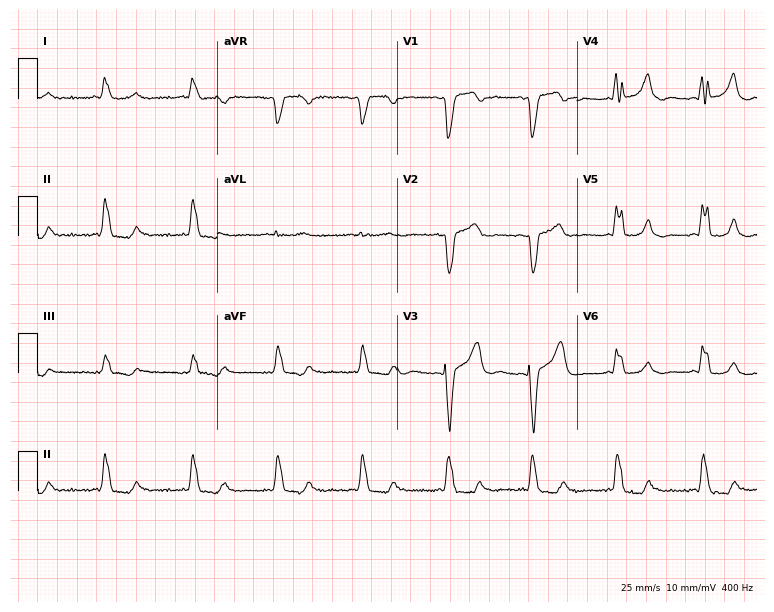
ECG (7.3-second recording at 400 Hz) — a 78-year-old female patient. Findings include left bundle branch block (LBBB).